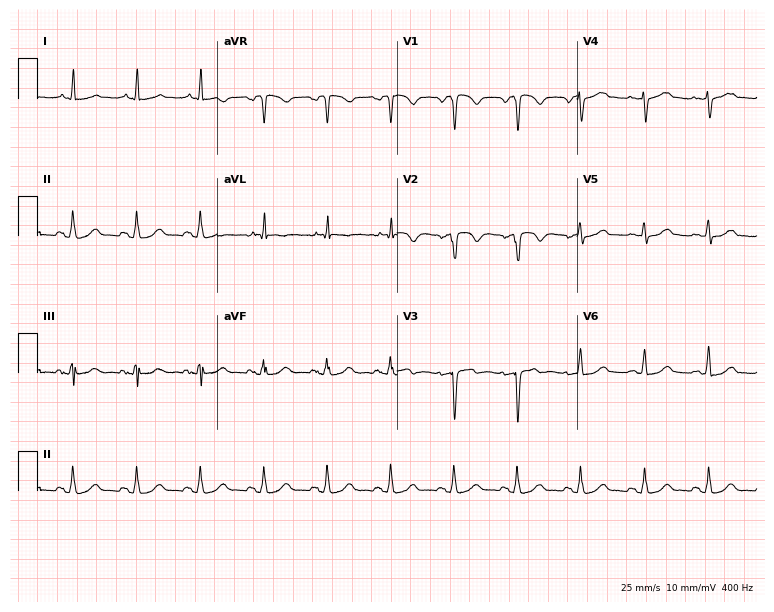
Resting 12-lead electrocardiogram (7.3-second recording at 400 Hz). Patient: a 64-year-old male. None of these six findings is recorded: first-degree AV block, right bundle branch block, left bundle branch block, sinus bradycardia, atrial fibrillation, sinus tachycardia.